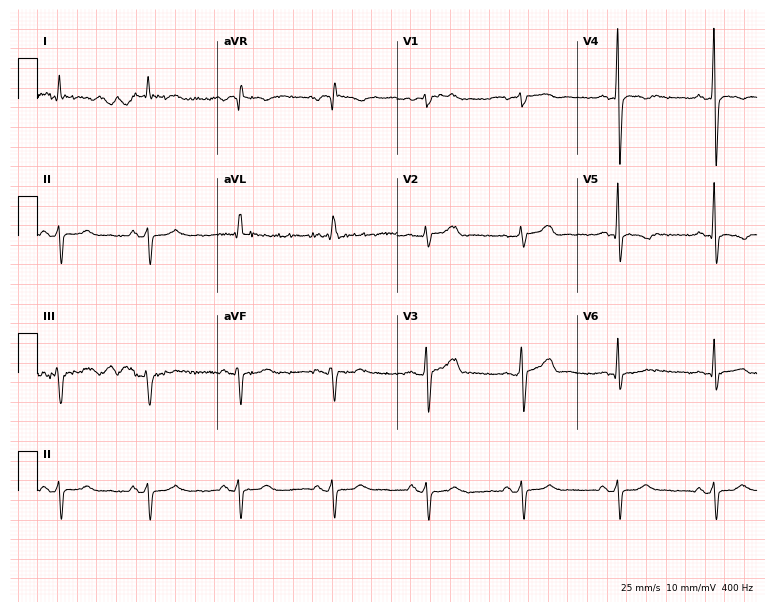
Resting 12-lead electrocardiogram. Patient: a 53-year-old man. None of these six findings is recorded: first-degree AV block, right bundle branch block, left bundle branch block, sinus bradycardia, atrial fibrillation, sinus tachycardia. Other findings, if any, are not listed.